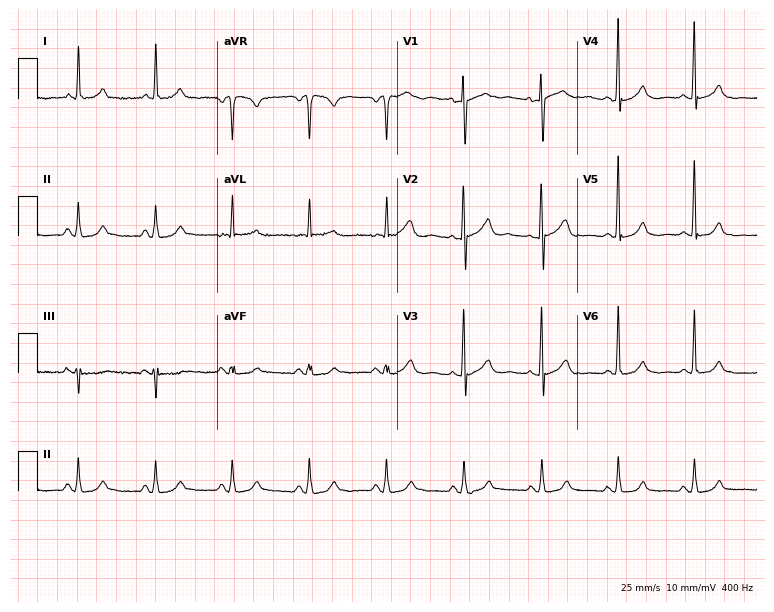
Standard 12-lead ECG recorded from a 65-year-old female patient (7.3-second recording at 400 Hz). Read as a normal ECG.